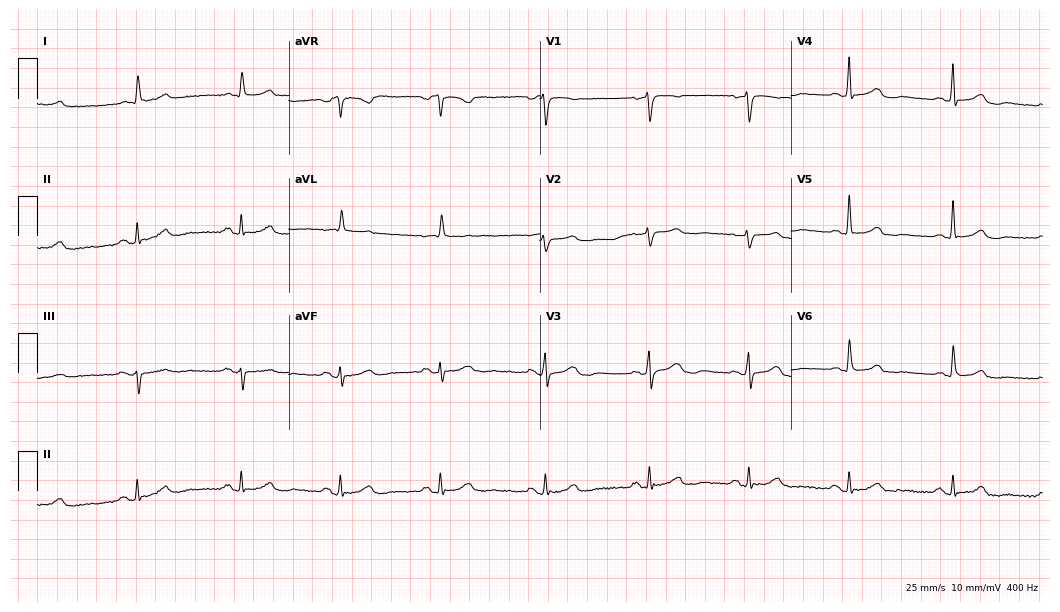
Resting 12-lead electrocardiogram. Patient: a 76-year-old woman. None of these six findings is recorded: first-degree AV block, right bundle branch block, left bundle branch block, sinus bradycardia, atrial fibrillation, sinus tachycardia. Only these six findings were labelled.